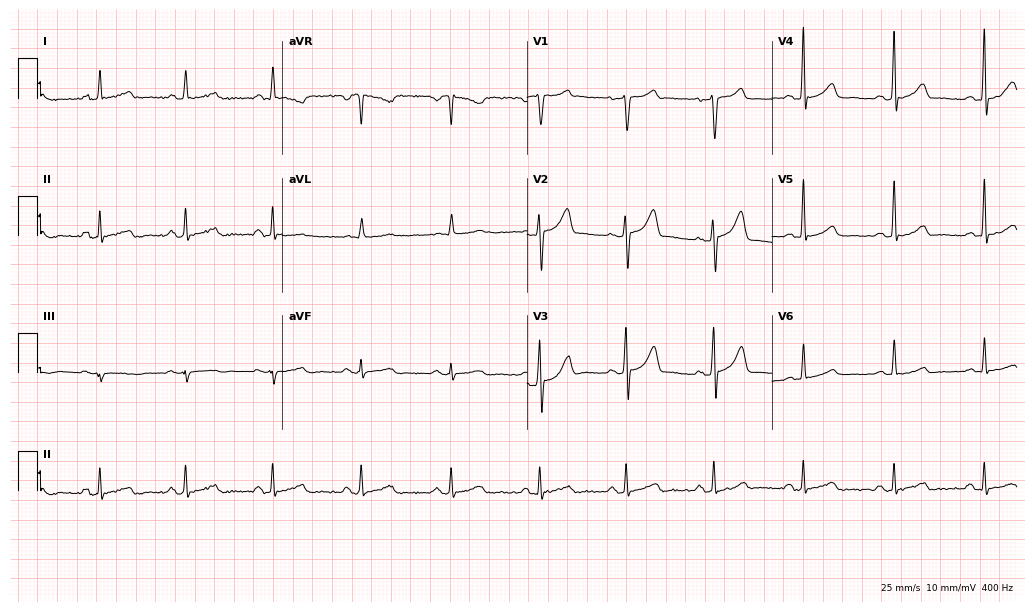
Resting 12-lead electrocardiogram. Patient: a 60-year-old man. Read as a normal ECG.